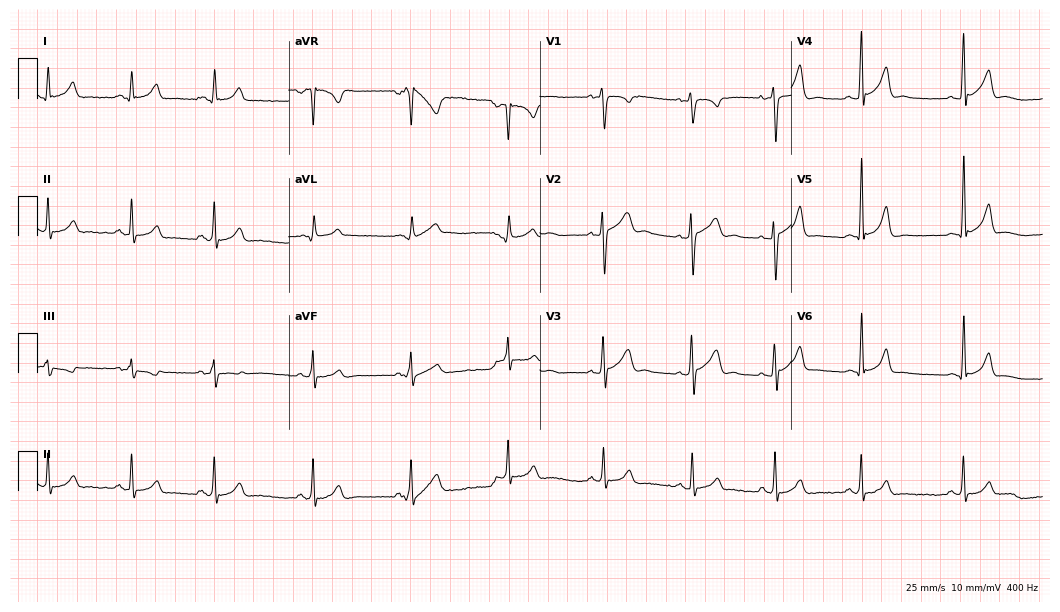
12-lead ECG from a man, 19 years old. Recorded interpretation: within normal limits.